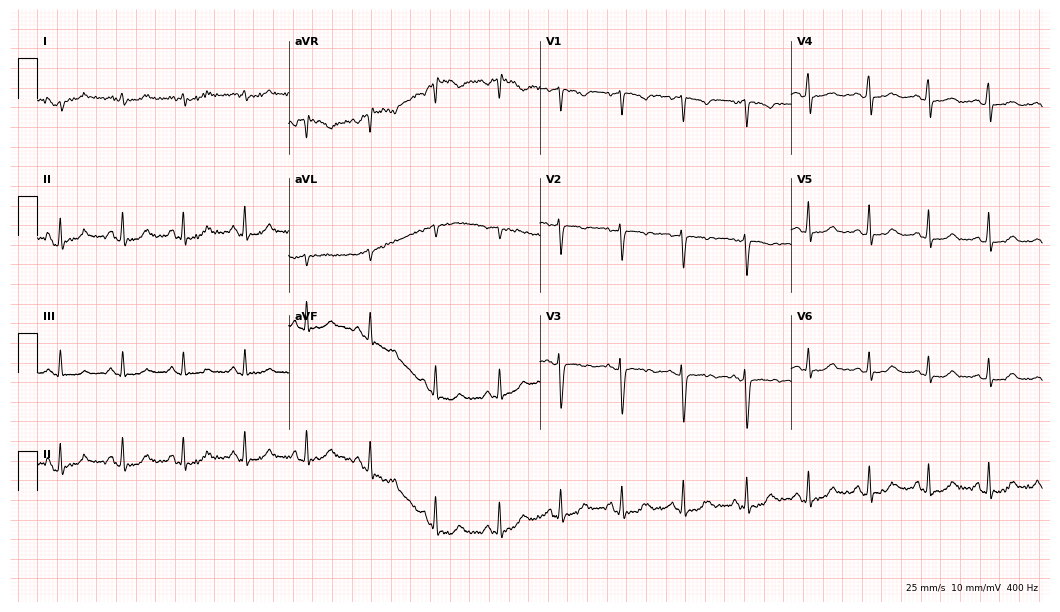
Resting 12-lead electrocardiogram. Patient: a female, 42 years old. None of these six findings is recorded: first-degree AV block, right bundle branch block, left bundle branch block, sinus bradycardia, atrial fibrillation, sinus tachycardia.